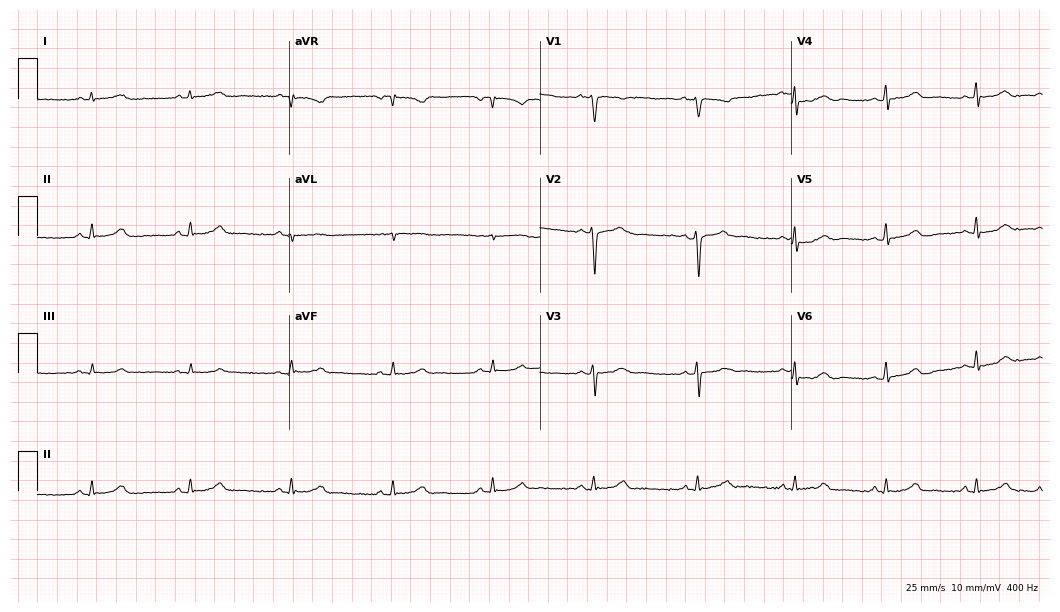
12-lead ECG from a 53-year-old man. Recorded interpretation: within normal limits.